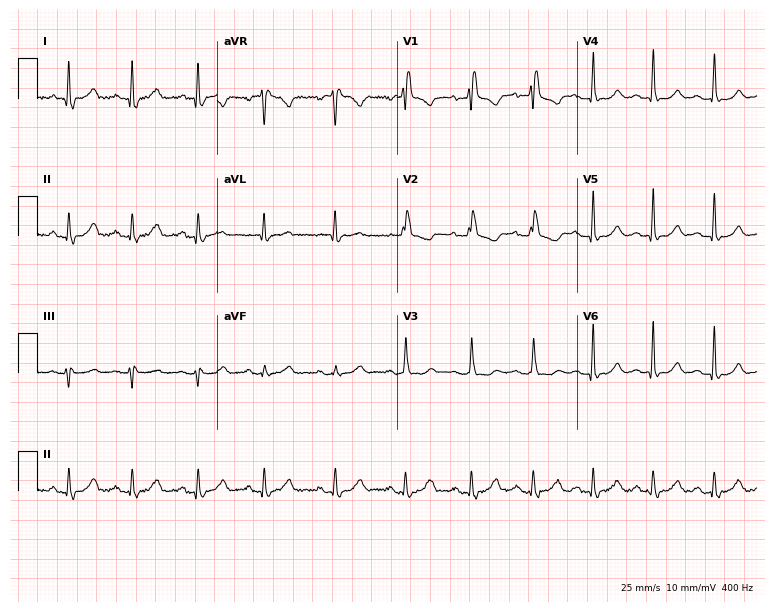
ECG (7.3-second recording at 400 Hz) — a 69-year-old woman. Findings include right bundle branch block.